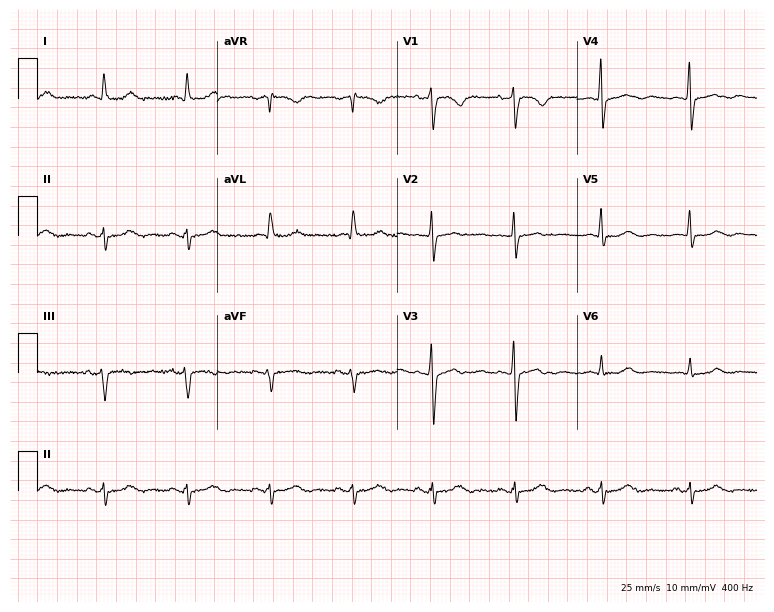
Electrocardiogram, a female, 76 years old. Of the six screened findings (first-degree AV block, right bundle branch block (RBBB), left bundle branch block (LBBB), sinus bradycardia, atrial fibrillation (AF), sinus tachycardia), none is recorded. Only these six findings were labelled.